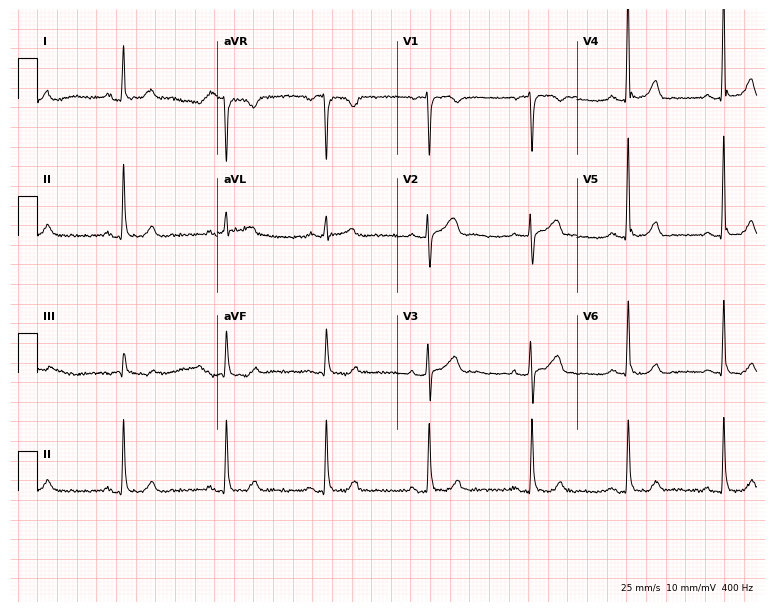
12-lead ECG from a 65-year-old female. Screened for six findings — first-degree AV block, right bundle branch block, left bundle branch block, sinus bradycardia, atrial fibrillation, sinus tachycardia — none is recorded.